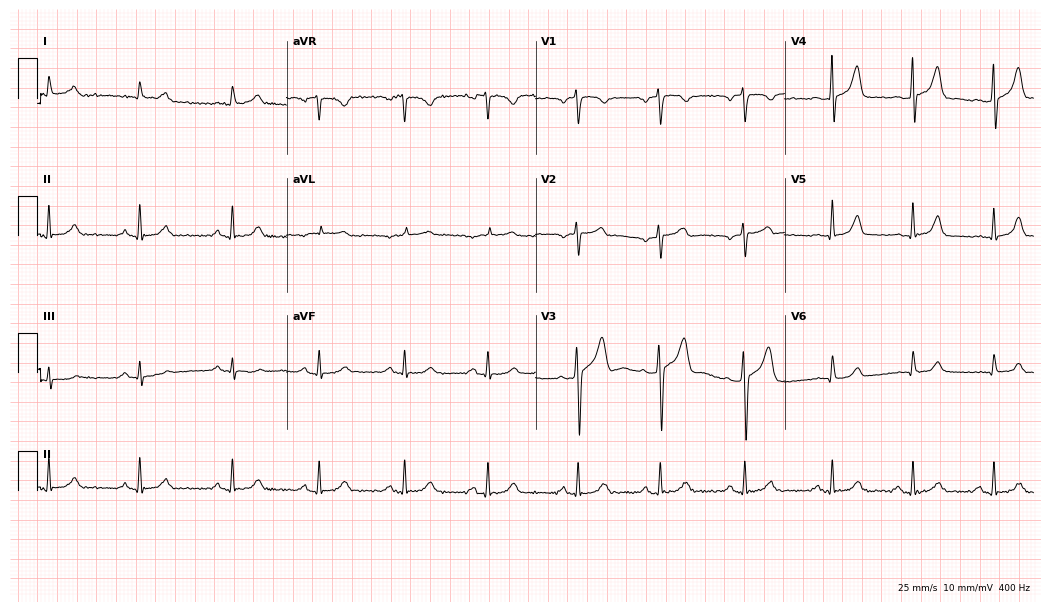
Standard 12-lead ECG recorded from a 58-year-old male (10.2-second recording at 400 Hz). Read as a normal ECG.